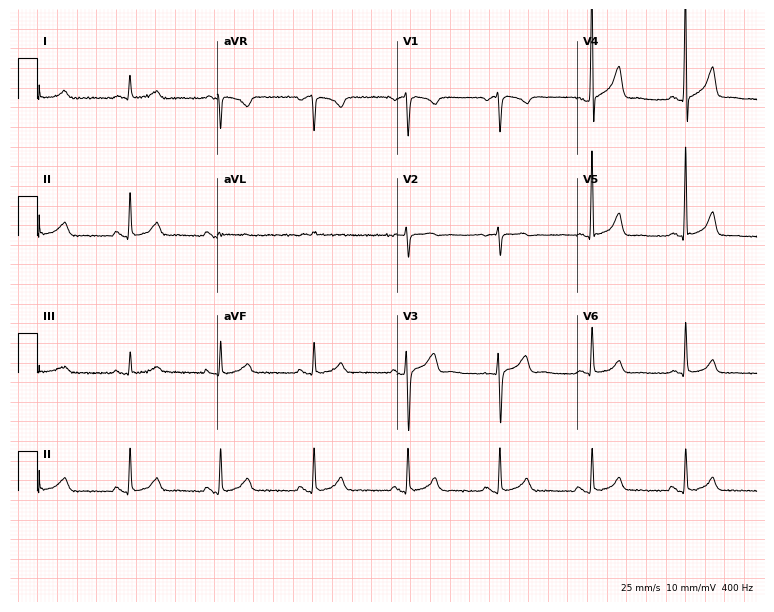
12-lead ECG from a 49-year-old man (7.3-second recording at 400 Hz). Recorded interpretation: within normal limits.